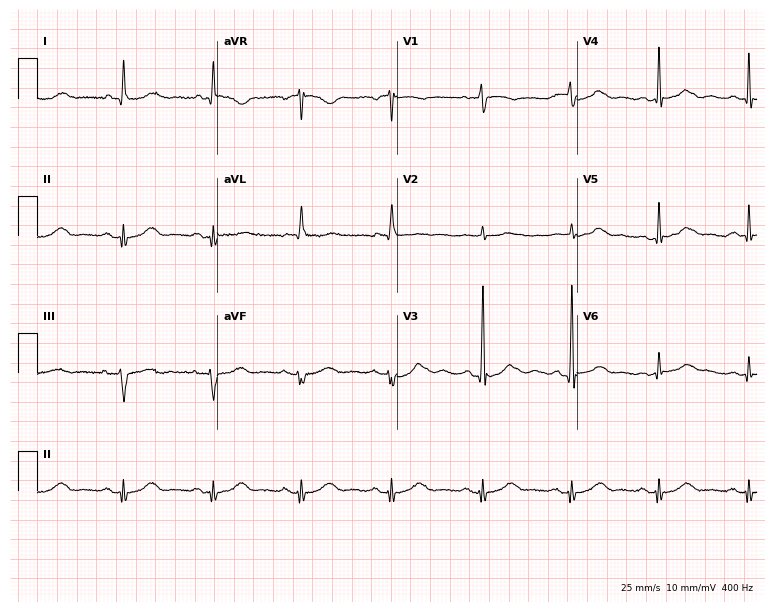
Resting 12-lead electrocardiogram. Patient: a female, 83 years old. Read as a normal ECG.